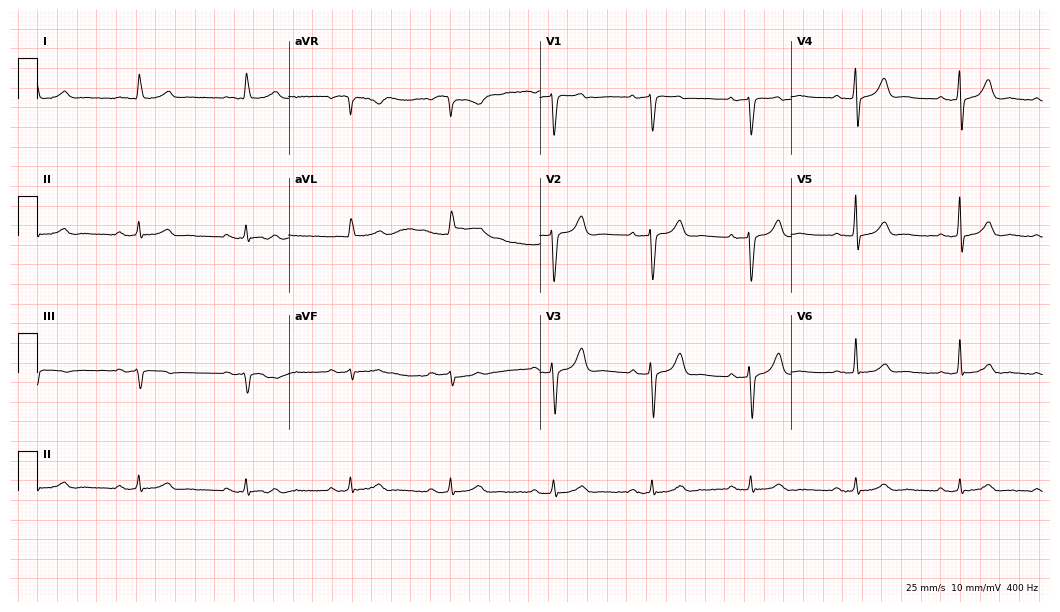
12-lead ECG from a 79-year-old male (10.2-second recording at 400 Hz). Recorded interpretation: within normal limits.